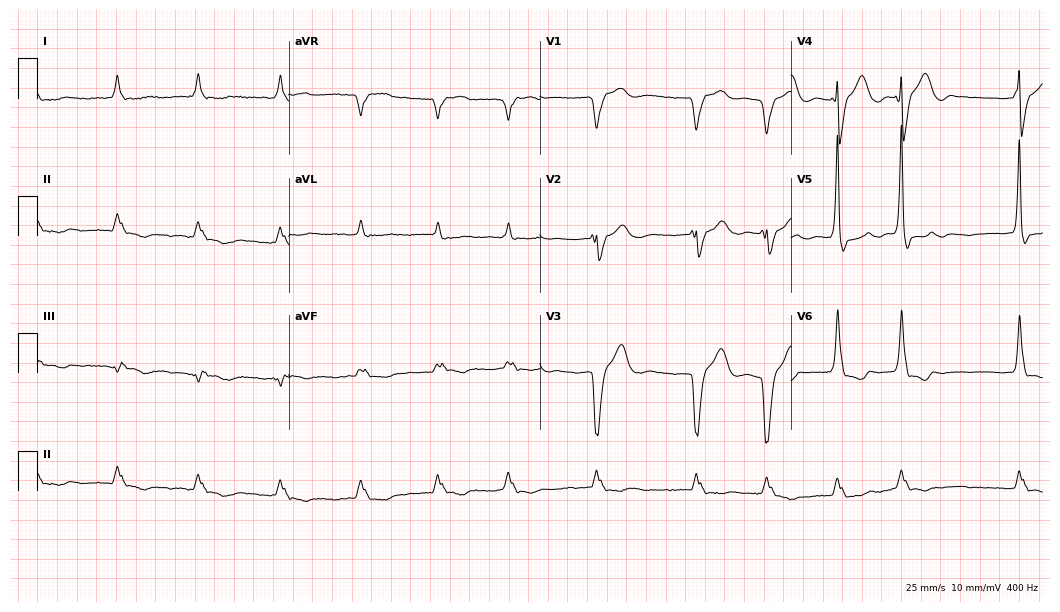
ECG (10.2-second recording at 400 Hz) — a male, 78 years old. Screened for six findings — first-degree AV block, right bundle branch block (RBBB), left bundle branch block (LBBB), sinus bradycardia, atrial fibrillation (AF), sinus tachycardia — none is recorded.